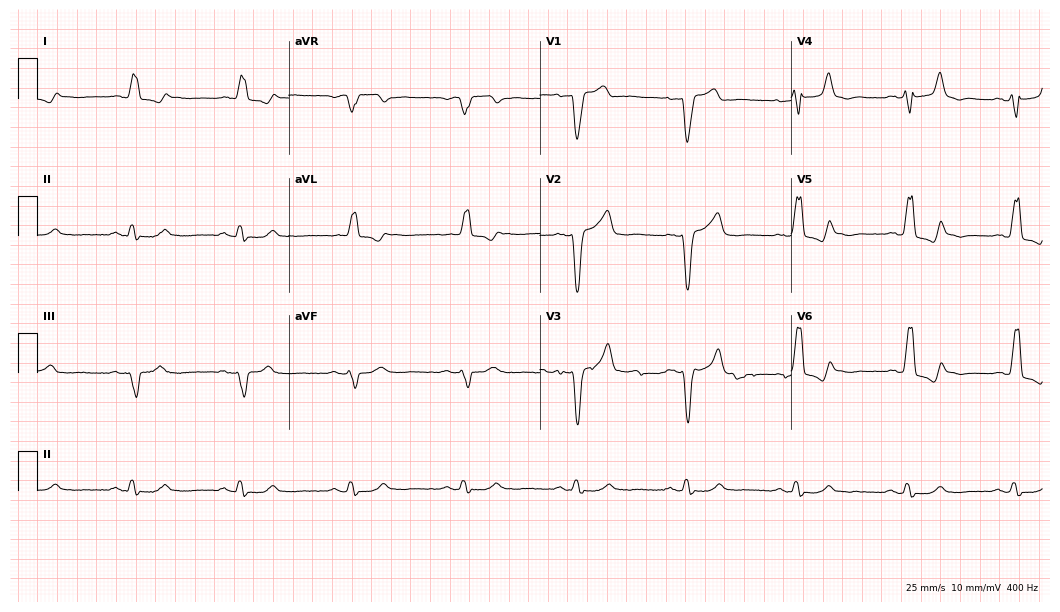
Electrocardiogram, a 70-year-old male. Interpretation includes left bundle branch block (LBBB).